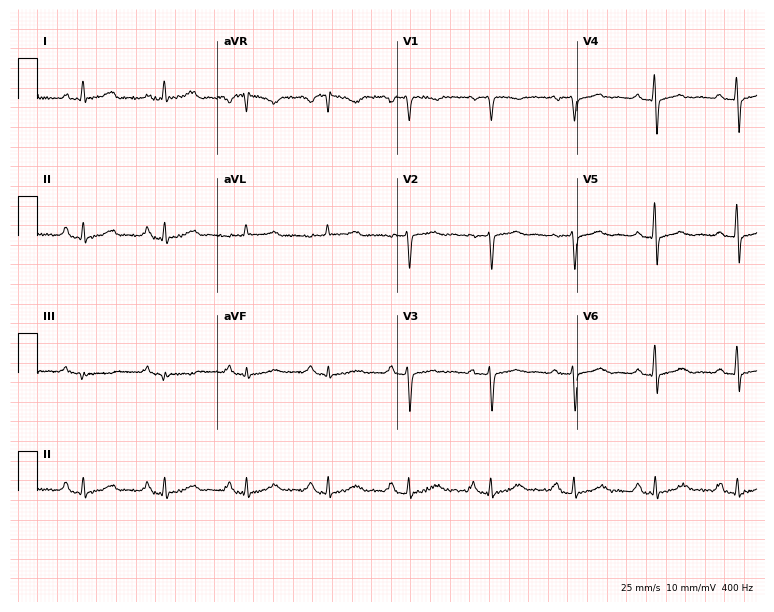
Standard 12-lead ECG recorded from a woman, 69 years old. None of these six findings is recorded: first-degree AV block, right bundle branch block (RBBB), left bundle branch block (LBBB), sinus bradycardia, atrial fibrillation (AF), sinus tachycardia. Other findings, if any, are not listed.